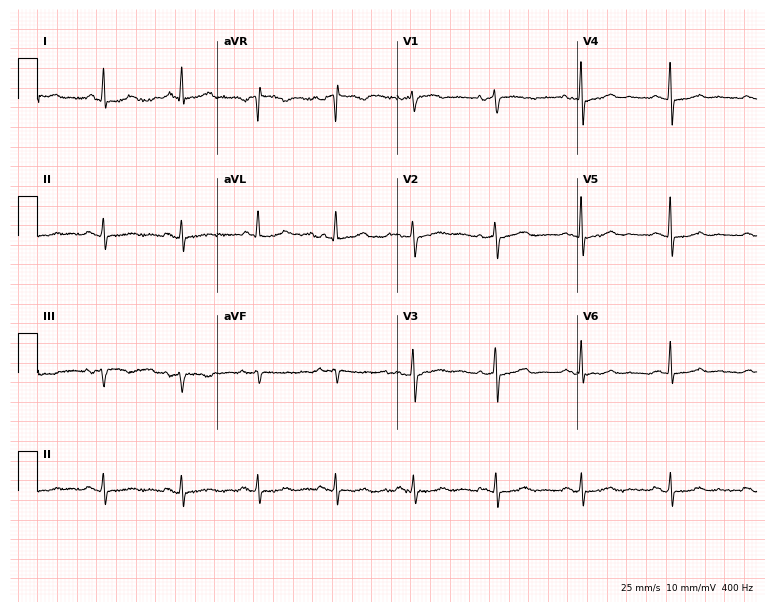
ECG — a 72-year-old woman. Screened for six findings — first-degree AV block, right bundle branch block, left bundle branch block, sinus bradycardia, atrial fibrillation, sinus tachycardia — none is recorded. Findings outside these six are not listed.